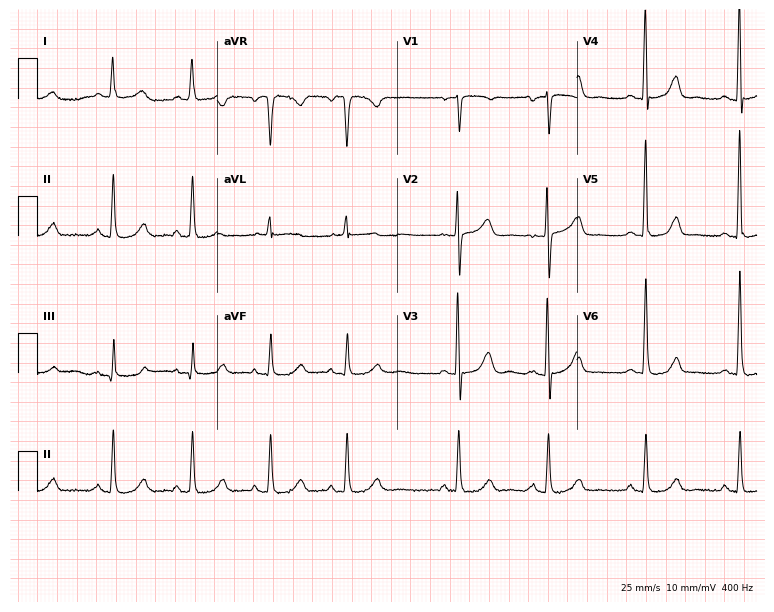
12-lead ECG from a 64-year-old female patient. Recorded interpretation: within normal limits.